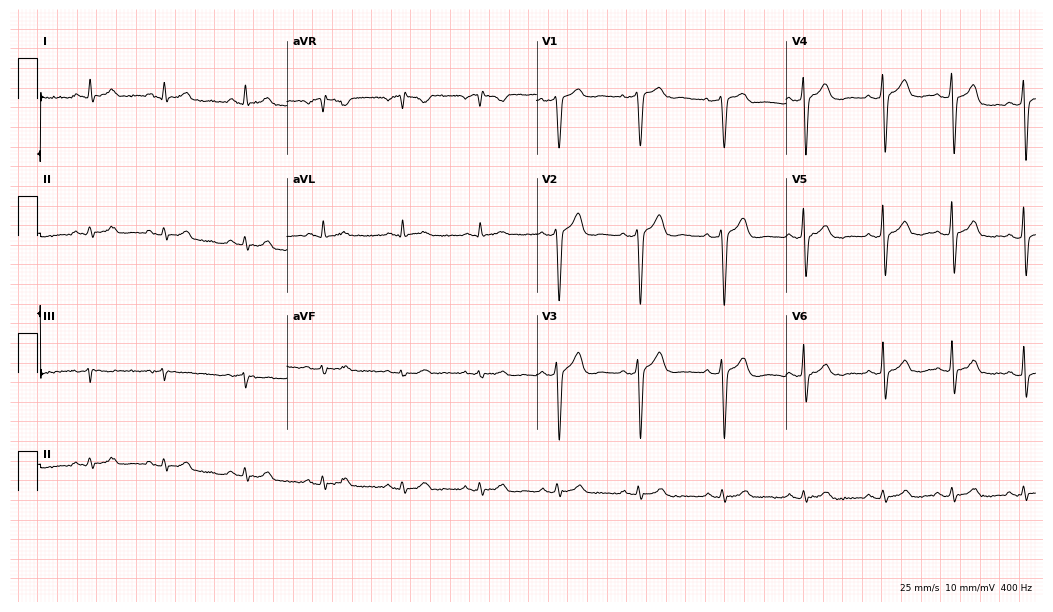
Resting 12-lead electrocardiogram. Patient: a 43-year-old man. None of these six findings is recorded: first-degree AV block, right bundle branch block, left bundle branch block, sinus bradycardia, atrial fibrillation, sinus tachycardia.